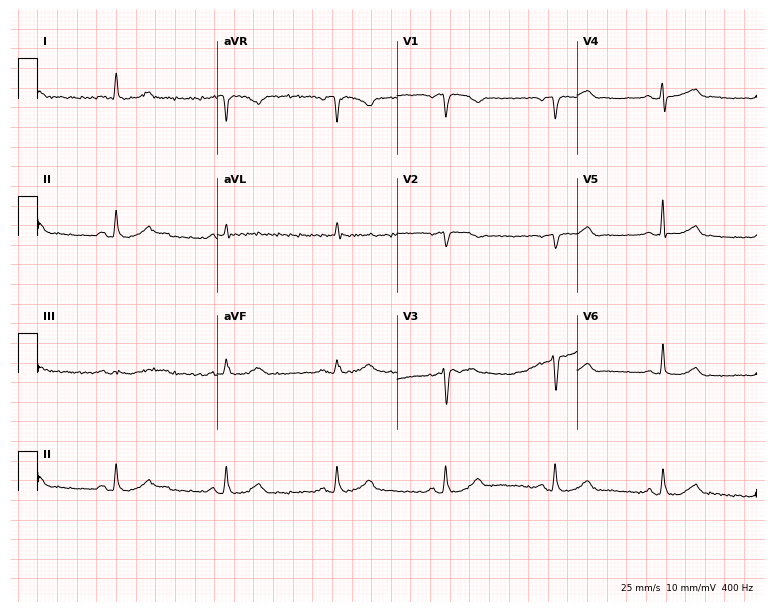
12-lead ECG from a 64-year-old woman (7.3-second recording at 400 Hz). No first-degree AV block, right bundle branch block (RBBB), left bundle branch block (LBBB), sinus bradycardia, atrial fibrillation (AF) or sinus tachycardia recorded for this tracing. Findings outside these six are not listed.